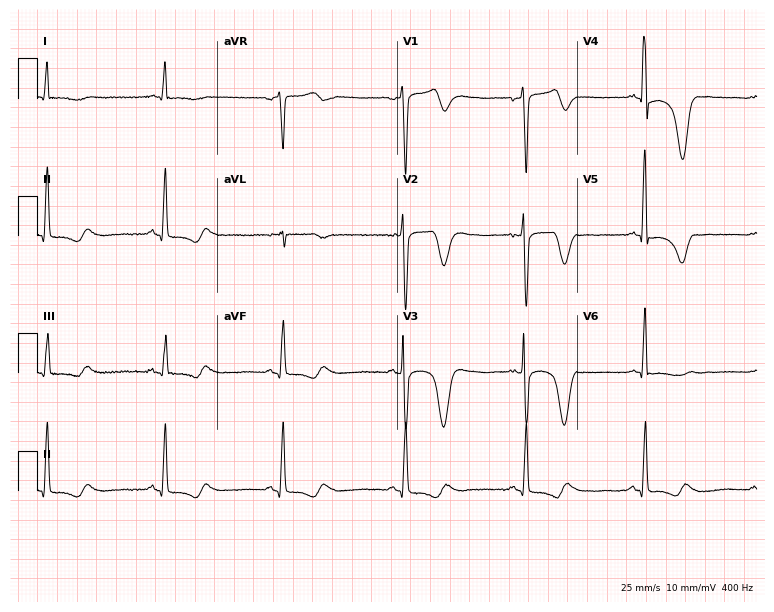
Resting 12-lead electrocardiogram (7.3-second recording at 400 Hz). Patient: a man, 70 years old. None of these six findings is recorded: first-degree AV block, right bundle branch block, left bundle branch block, sinus bradycardia, atrial fibrillation, sinus tachycardia. Only these six findings were labelled.